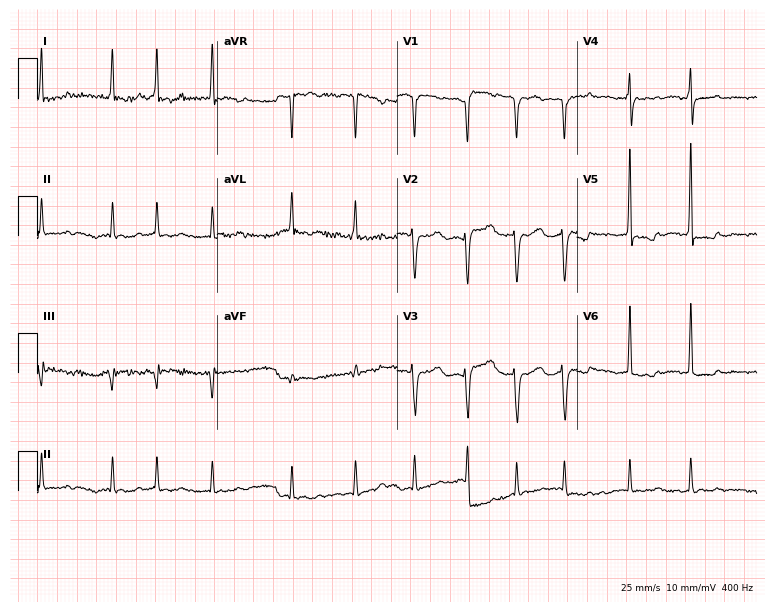
ECG — a 67-year-old male patient. Findings include atrial fibrillation.